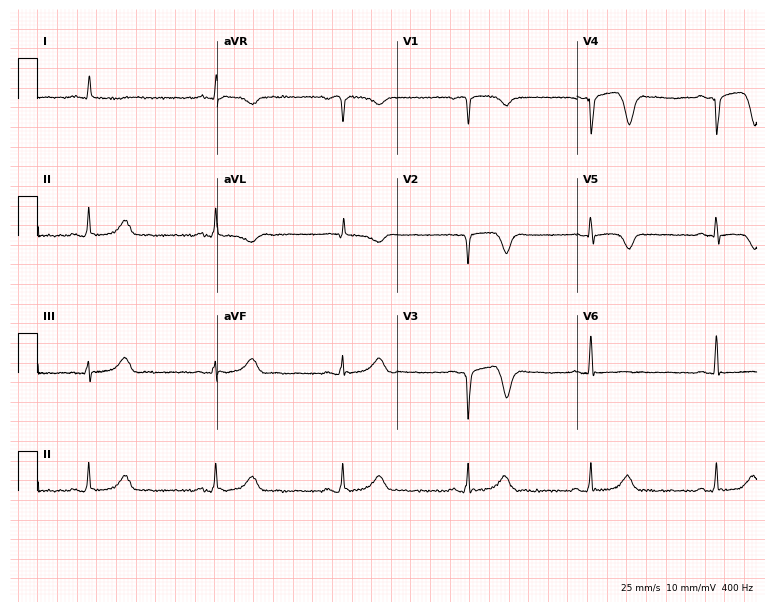
Electrocardiogram (7.3-second recording at 400 Hz), a 59-year-old man. Interpretation includes sinus bradycardia (a sinus rate of 50 beats per minute or less).